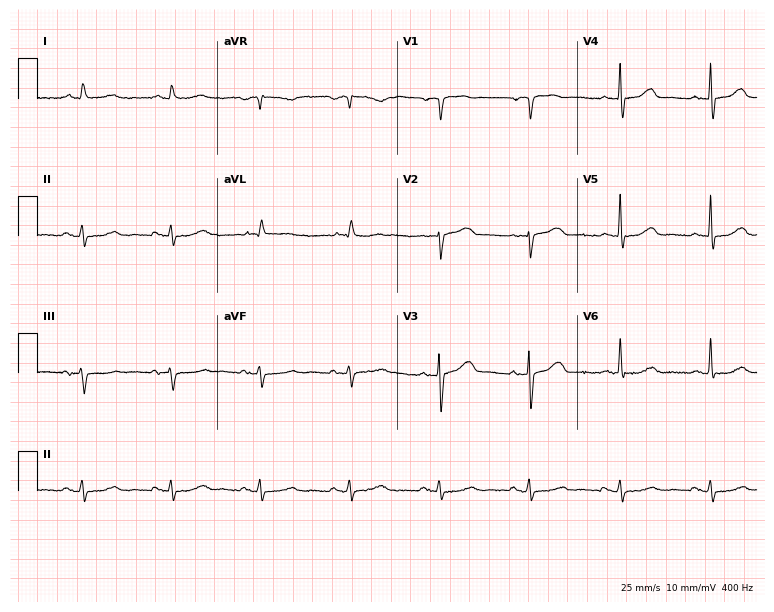
Resting 12-lead electrocardiogram (7.3-second recording at 400 Hz). Patient: a male, 79 years old. Read as a normal ECG.